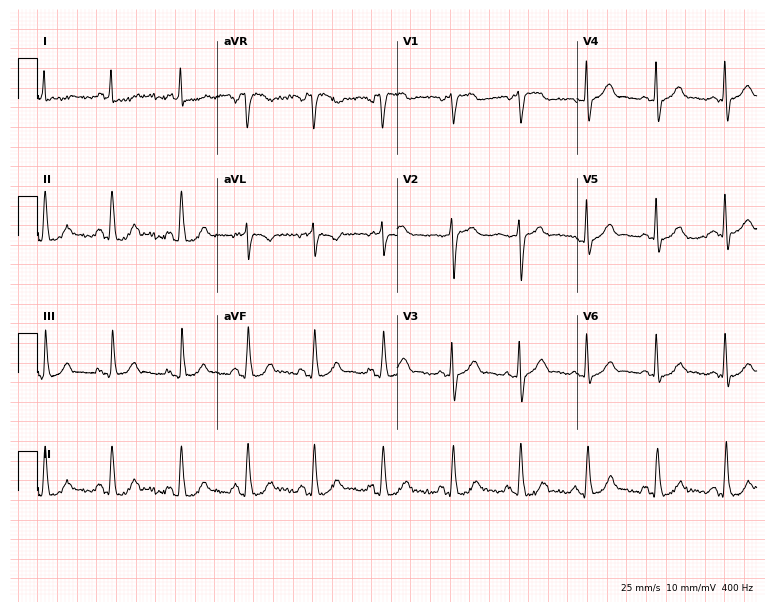
Resting 12-lead electrocardiogram (7.3-second recording at 400 Hz). Patient: a 65-year-old female. Read as a normal ECG.